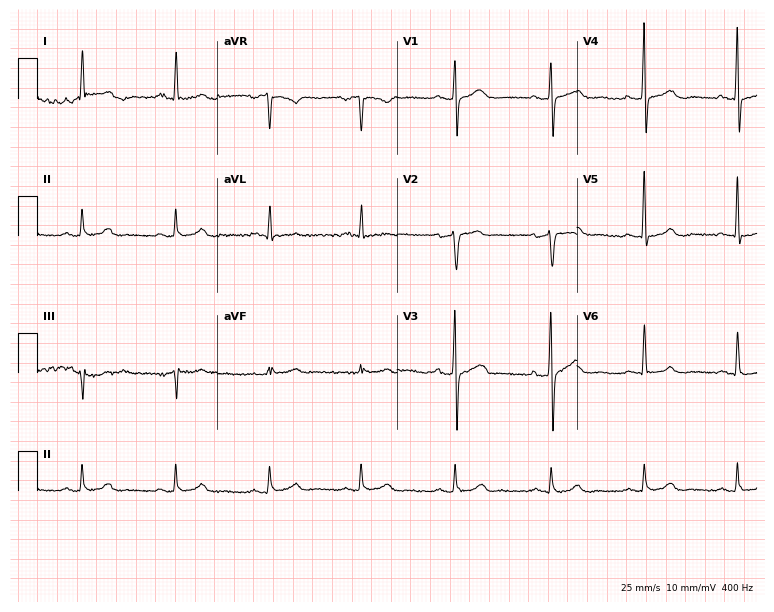
Resting 12-lead electrocardiogram. Patient: a man, 52 years old. None of these six findings is recorded: first-degree AV block, right bundle branch block (RBBB), left bundle branch block (LBBB), sinus bradycardia, atrial fibrillation (AF), sinus tachycardia.